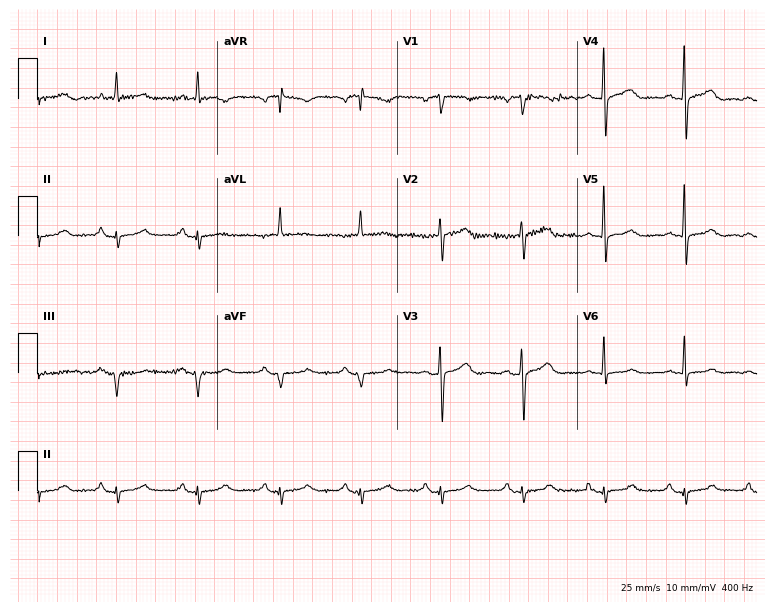
12-lead ECG (7.3-second recording at 400 Hz) from a male, 73 years old. Screened for six findings — first-degree AV block, right bundle branch block (RBBB), left bundle branch block (LBBB), sinus bradycardia, atrial fibrillation (AF), sinus tachycardia — none is recorded.